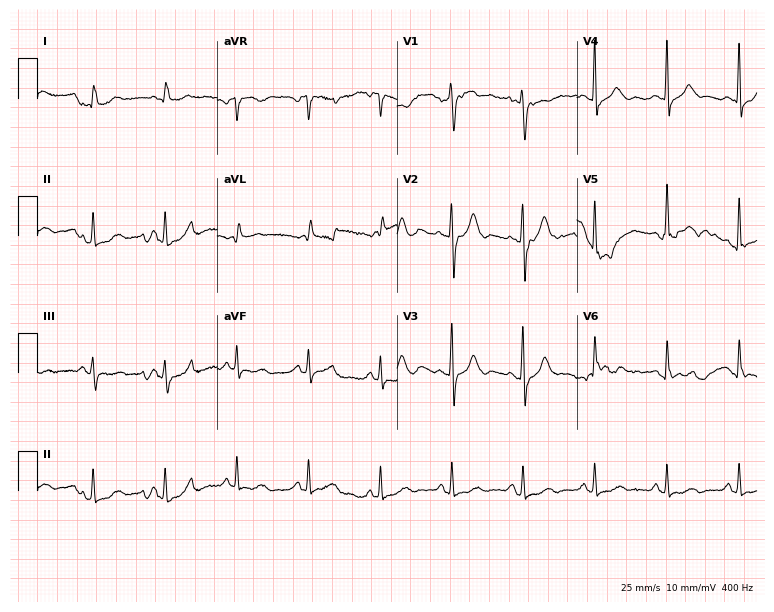
ECG — a 69-year-old man. Screened for six findings — first-degree AV block, right bundle branch block, left bundle branch block, sinus bradycardia, atrial fibrillation, sinus tachycardia — none is recorded.